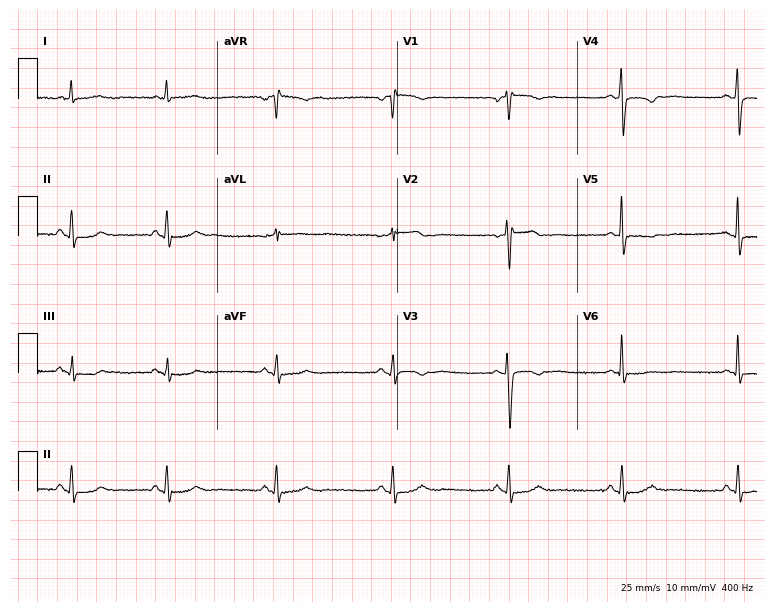
Resting 12-lead electrocardiogram (7.3-second recording at 400 Hz). Patient: a 58-year-old woman. None of these six findings is recorded: first-degree AV block, right bundle branch block, left bundle branch block, sinus bradycardia, atrial fibrillation, sinus tachycardia.